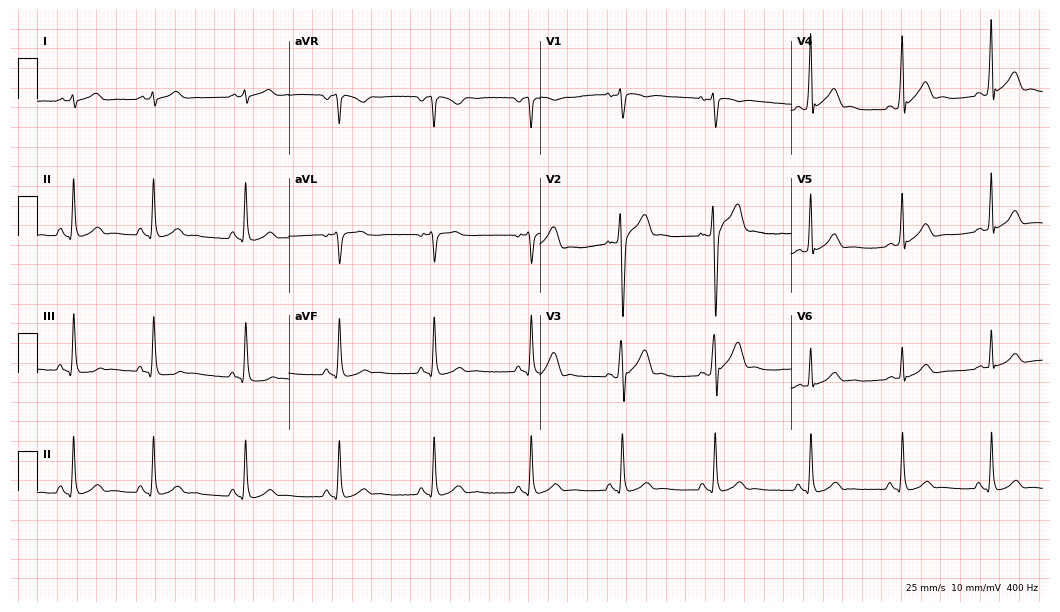
12-lead ECG (10.2-second recording at 400 Hz) from a 22-year-old male patient. Labelled as a normal ECG.